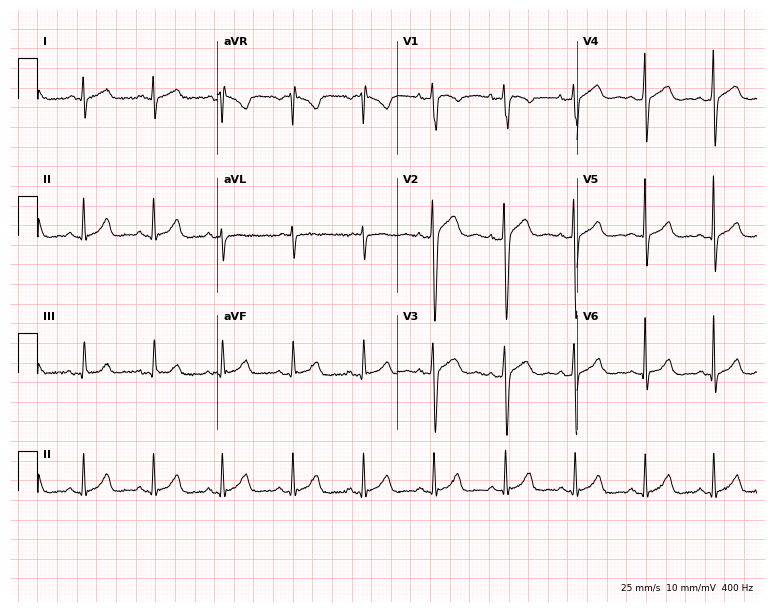
Electrocardiogram, a 22-year-old male. Overall reading on record: normal ECG.